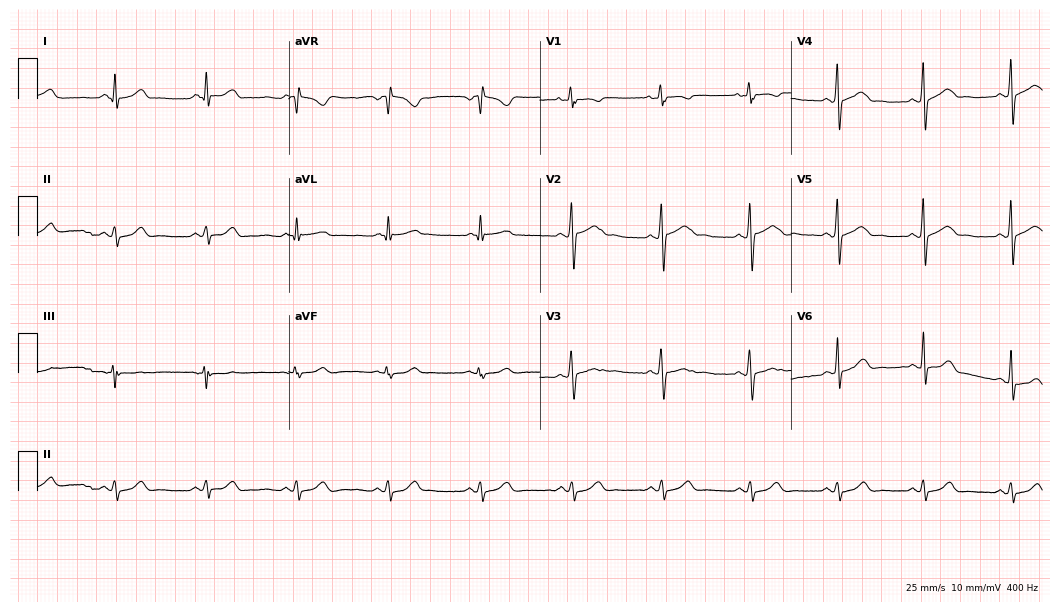
ECG — a male, 39 years old. Screened for six findings — first-degree AV block, right bundle branch block, left bundle branch block, sinus bradycardia, atrial fibrillation, sinus tachycardia — none is recorded. Only these six findings were labelled.